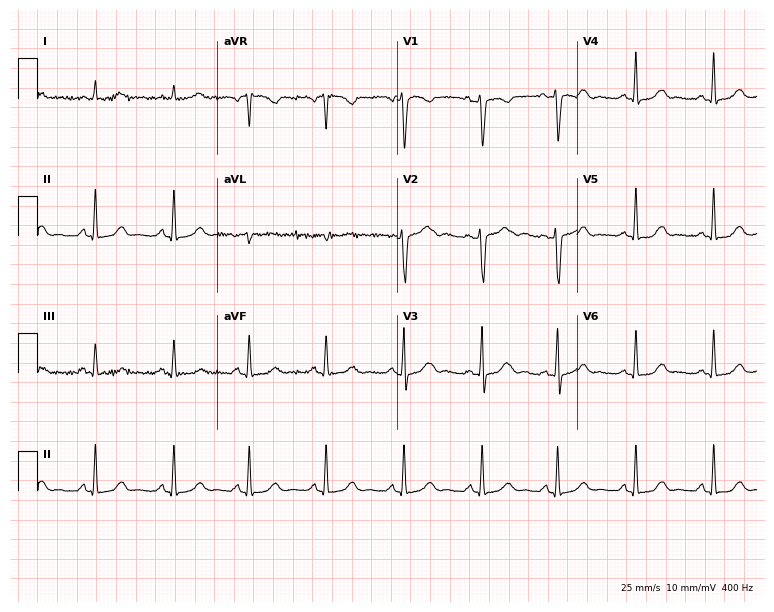
12-lead ECG (7.3-second recording at 400 Hz) from a woman, 49 years old. Labelled as a normal ECG.